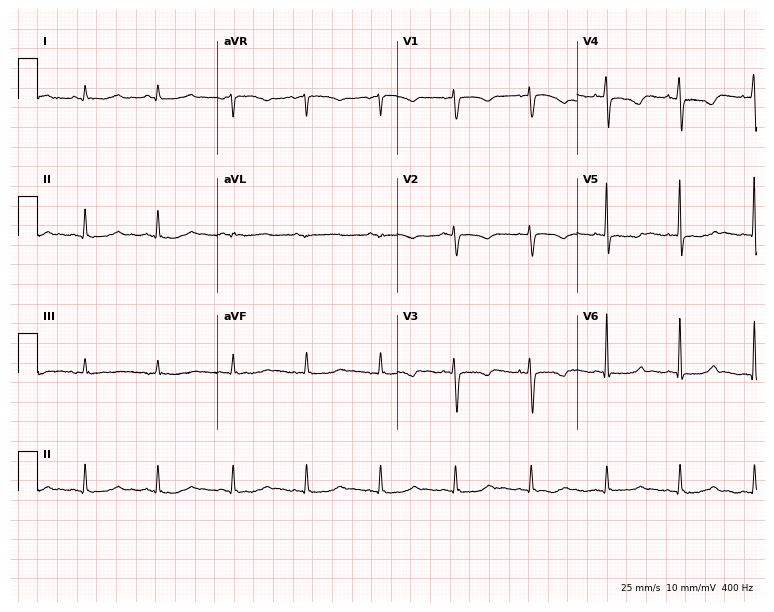
Standard 12-lead ECG recorded from a 56-year-old man. None of these six findings is recorded: first-degree AV block, right bundle branch block, left bundle branch block, sinus bradycardia, atrial fibrillation, sinus tachycardia.